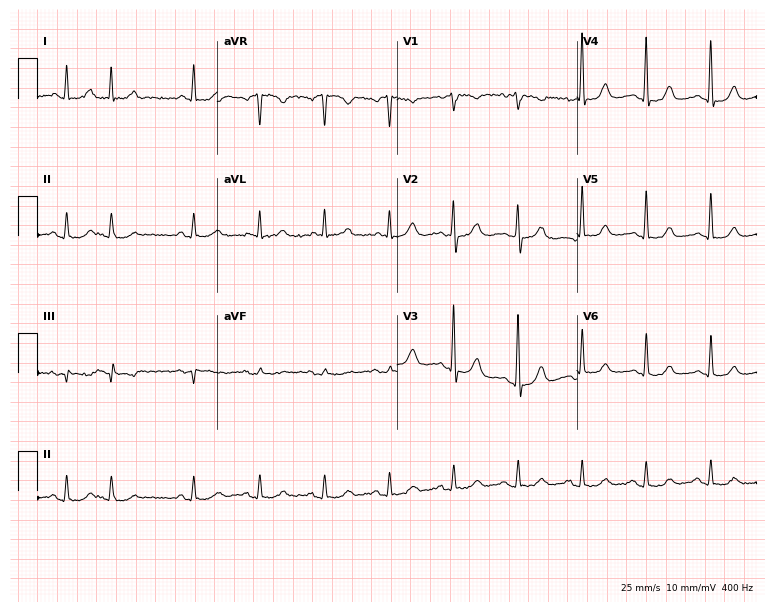
12-lead ECG (7.3-second recording at 400 Hz) from an 80-year-old female patient. Screened for six findings — first-degree AV block, right bundle branch block, left bundle branch block, sinus bradycardia, atrial fibrillation, sinus tachycardia — none is recorded.